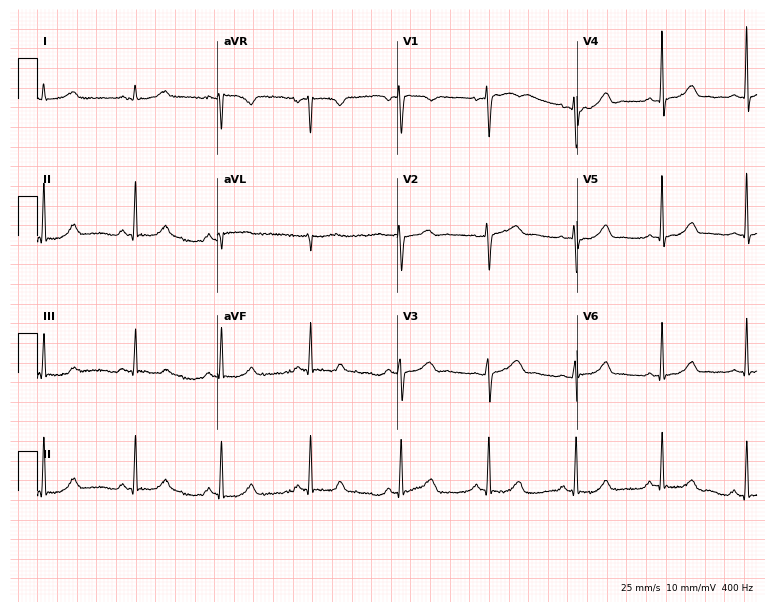
Resting 12-lead electrocardiogram. Patient: a 37-year-old female. Read as a normal ECG.